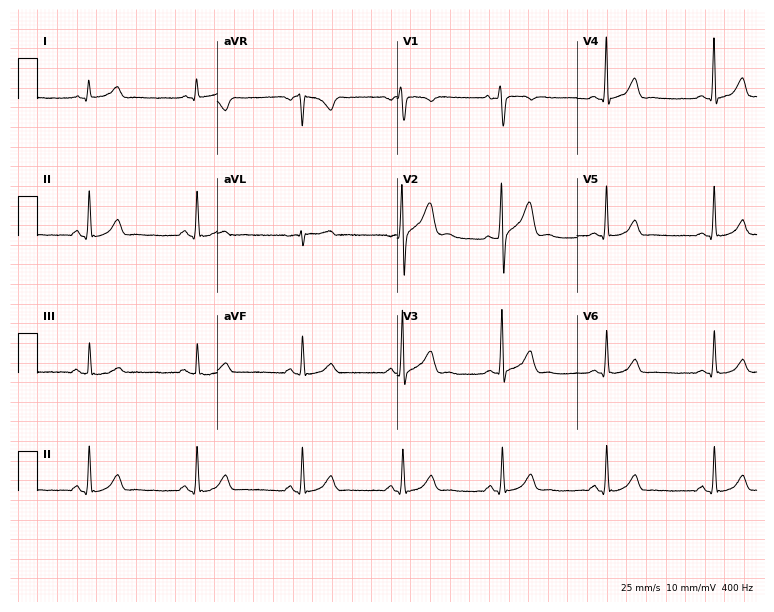
ECG — a male patient, 40 years old. Screened for six findings — first-degree AV block, right bundle branch block, left bundle branch block, sinus bradycardia, atrial fibrillation, sinus tachycardia — none is recorded.